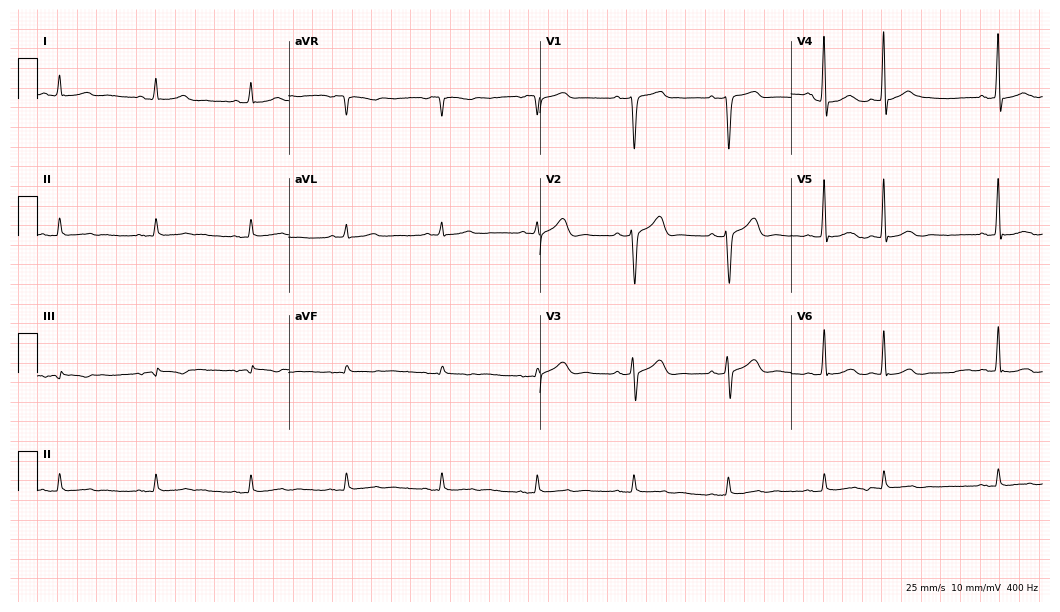
12-lead ECG from a 67-year-old male patient. No first-degree AV block, right bundle branch block, left bundle branch block, sinus bradycardia, atrial fibrillation or sinus tachycardia recorded for this tracing. Findings outside these six are not listed.